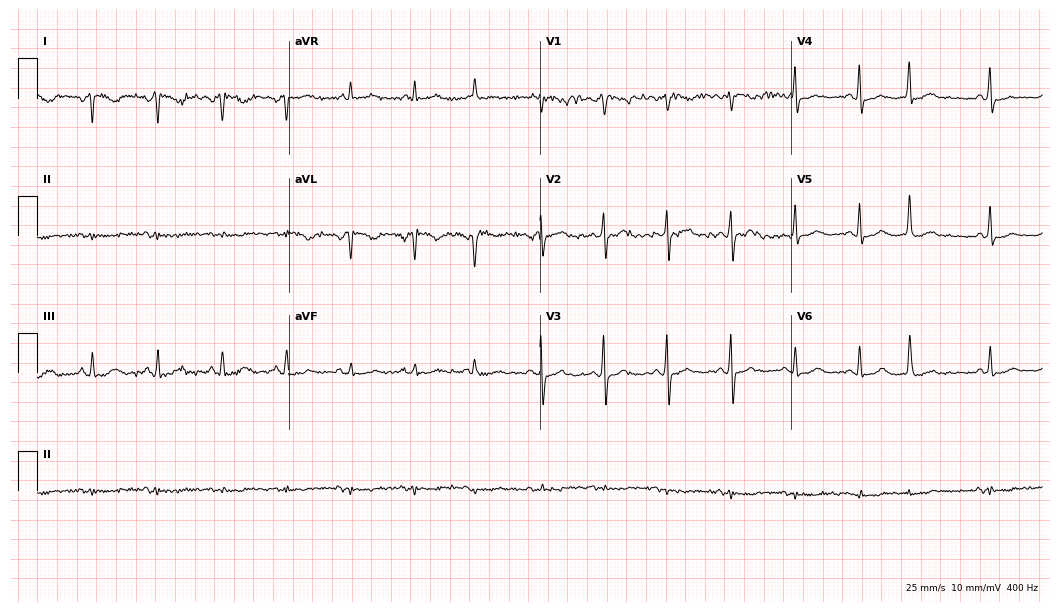
Electrocardiogram (10.2-second recording at 400 Hz), a female, 58 years old. Of the six screened findings (first-degree AV block, right bundle branch block, left bundle branch block, sinus bradycardia, atrial fibrillation, sinus tachycardia), none is recorded.